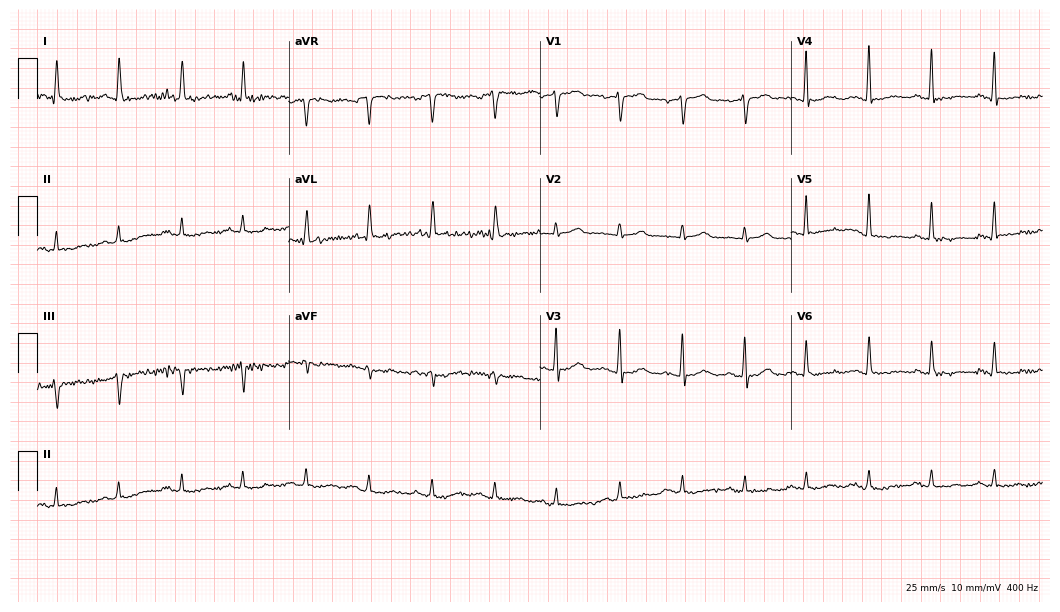
Electrocardiogram (10.2-second recording at 400 Hz), a 78-year-old female. Overall reading on record: normal ECG.